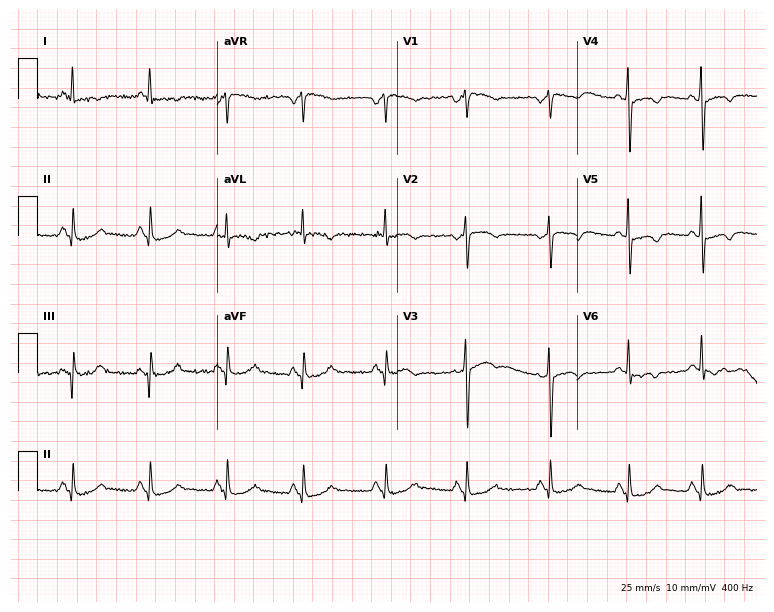
12-lead ECG from a female patient, 48 years old. Screened for six findings — first-degree AV block, right bundle branch block, left bundle branch block, sinus bradycardia, atrial fibrillation, sinus tachycardia — none is recorded. Only these six findings were labelled.